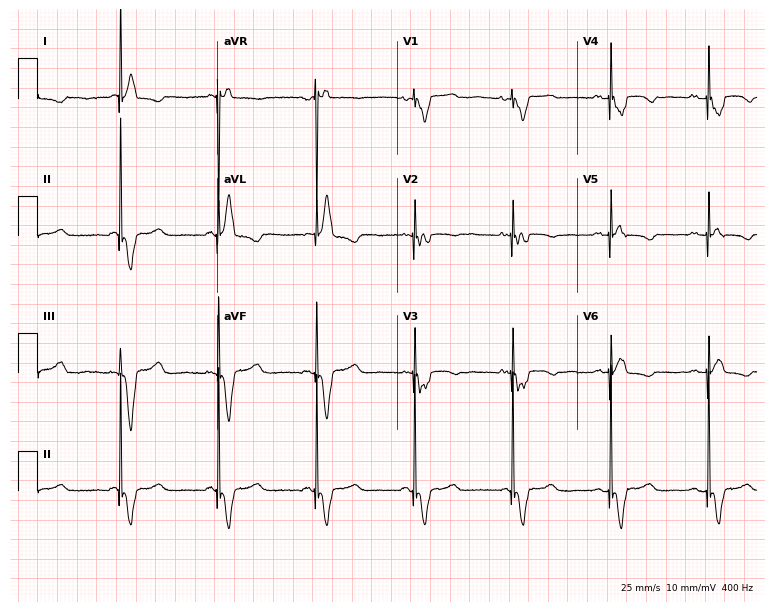
12-lead ECG (7.3-second recording at 400 Hz) from a woman, 39 years old. Screened for six findings — first-degree AV block, right bundle branch block, left bundle branch block, sinus bradycardia, atrial fibrillation, sinus tachycardia — none is recorded. Other findings, if any, are not listed.